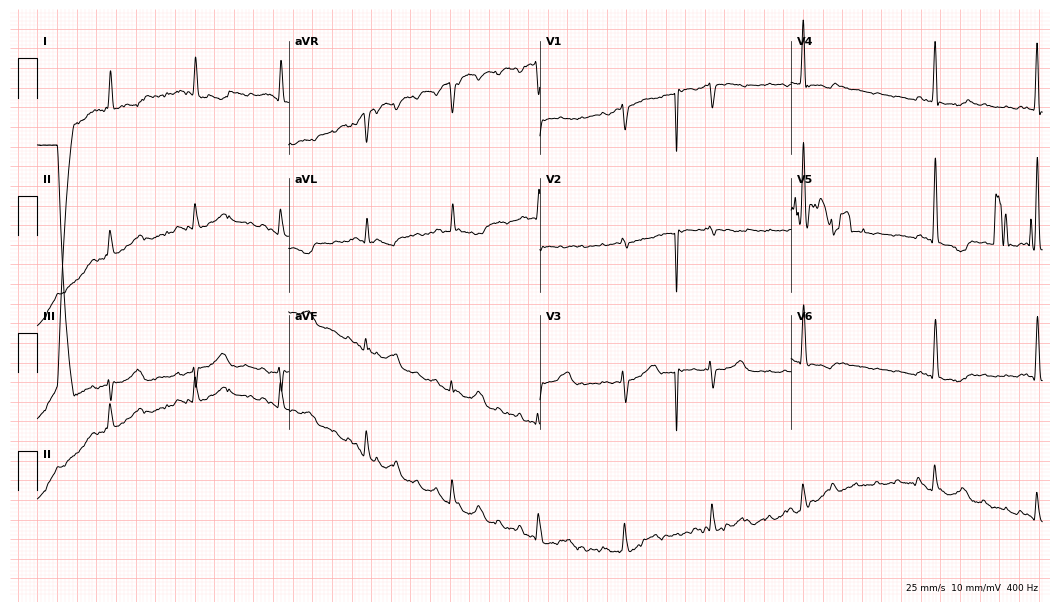
Electrocardiogram, a female, 83 years old. Of the six screened findings (first-degree AV block, right bundle branch block, left bundle branch block, sinus bradycardia, atrial fibrillation, sinus tachycardia), none is recorded. Only these six findings were labelled.